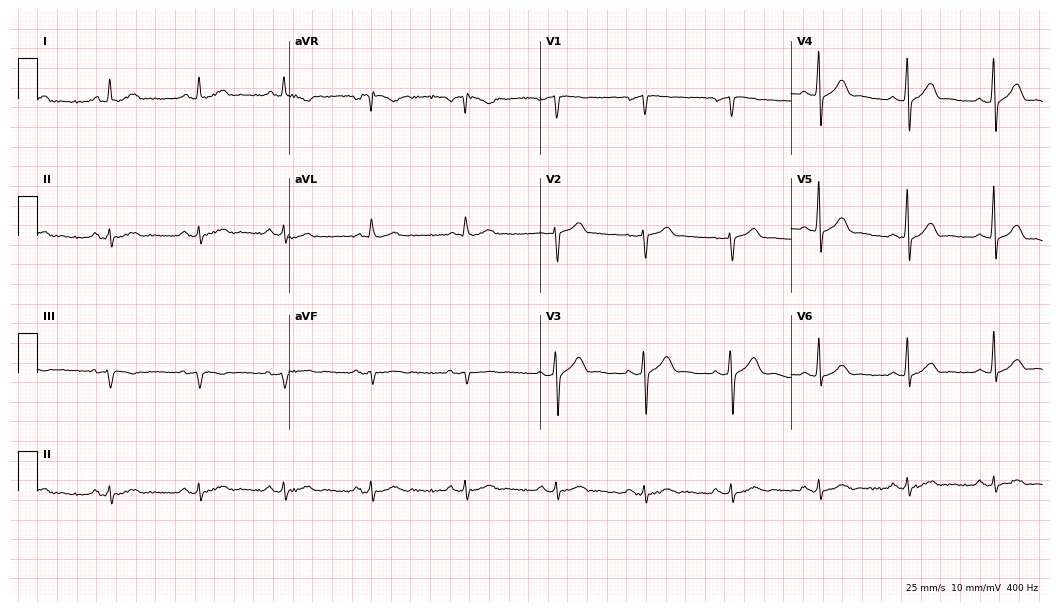
Standard 12-lead ECG recorded from a 47-year-old male patient (10.2-second recording at 400 Hz). None of these six findings is recorded: first-degree AV block, right bundle branch block (RBBB), left bundle branch block (LBBB), sinus bradycardia, atrial fibrillation (AF), sinus tachycardia.